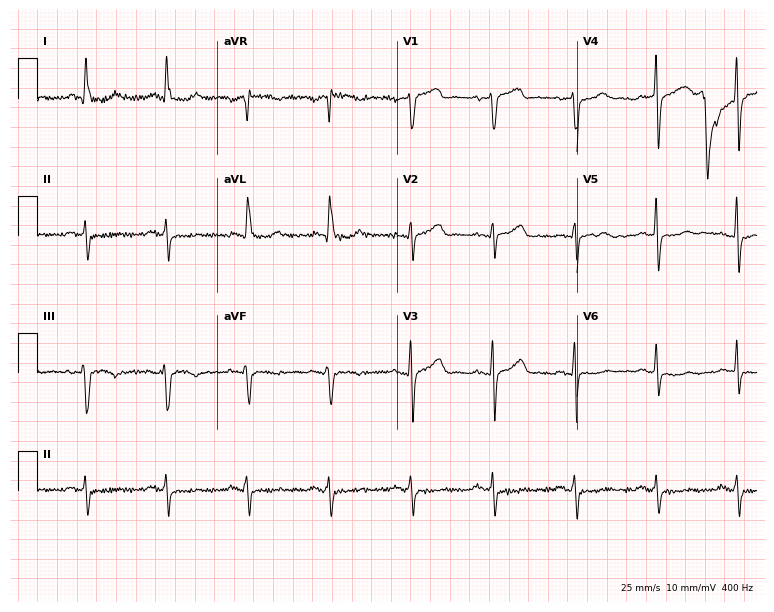
Electrocardiogram, a 71-year-old male patient. Of the six screened findings (first-degree AV block, right bundle branch block (RBBB), left bundle branch block (LBBB), sinus bradycardia, atrial fibrillation (AF), sinus tachycardia), none is recorded.